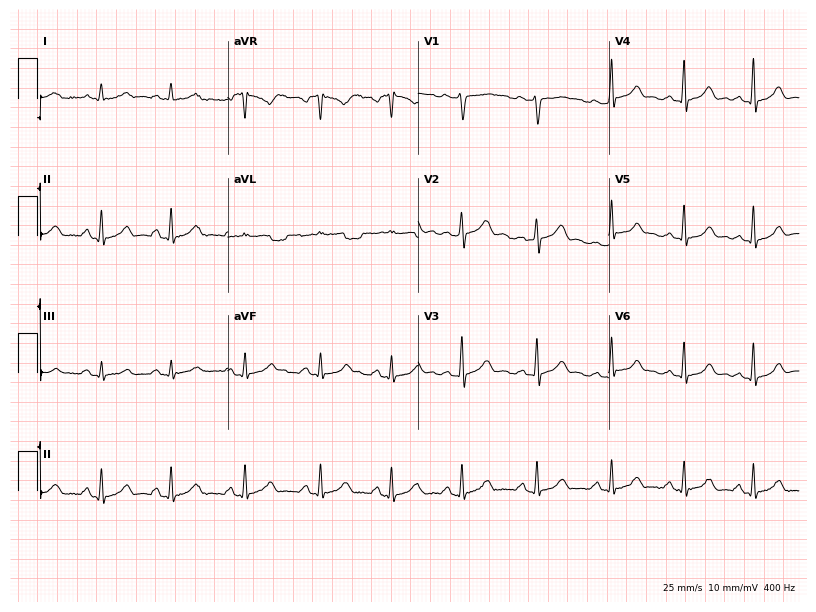
Standard 12-lead ECG recorded from a 50-year-old female patient (7.8-second recording at 400 Hz). Read as a normal ECG.